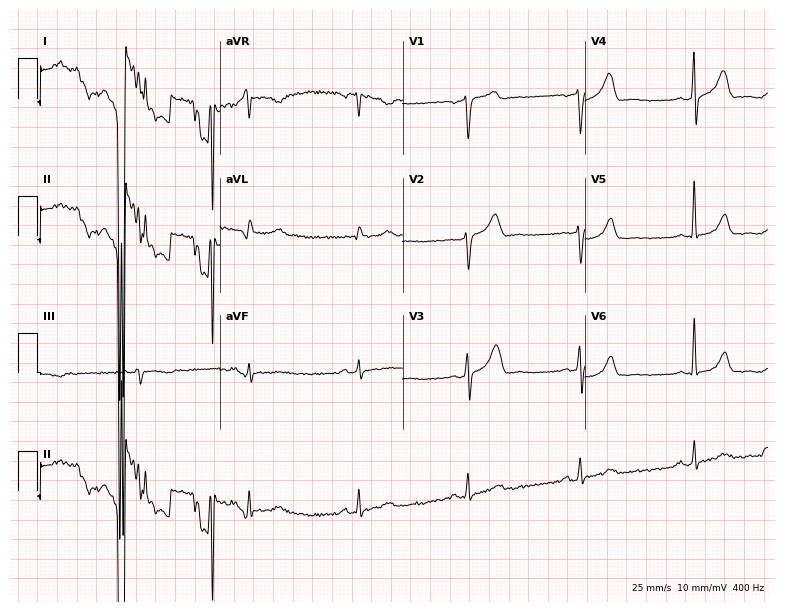
Standard 12-lead ECG recorded from a 64-year-old male (7.4-second recording at 400 Hz). Read as a normal ECG.